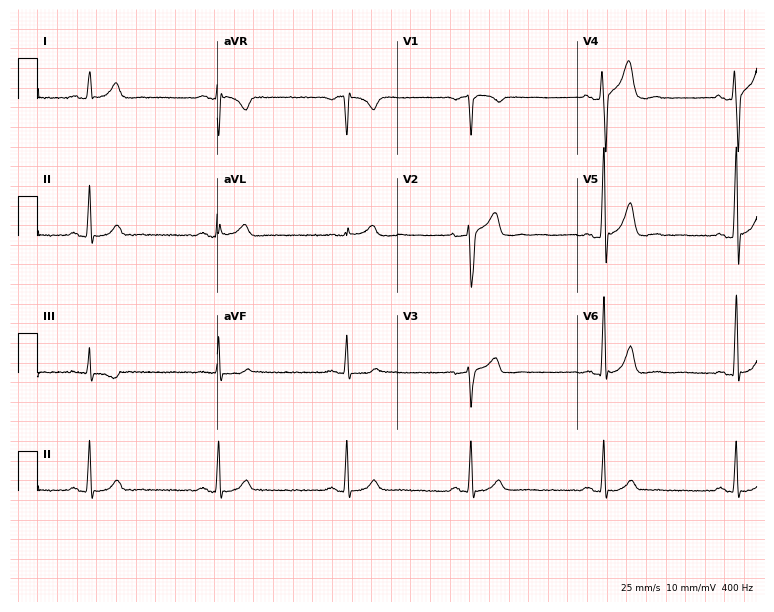
12-lead ECG from a 47-year-old male patient. Shows sinus bradycardia (a sinus rate of 50 beats per minute or less).